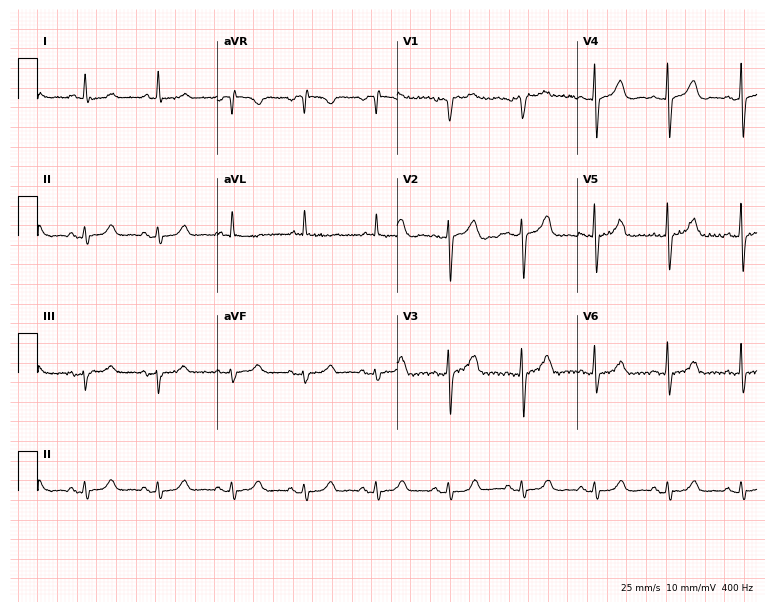
12-lead ECG from a 79-year-old woman. Recorded interpretation: within normal limits.